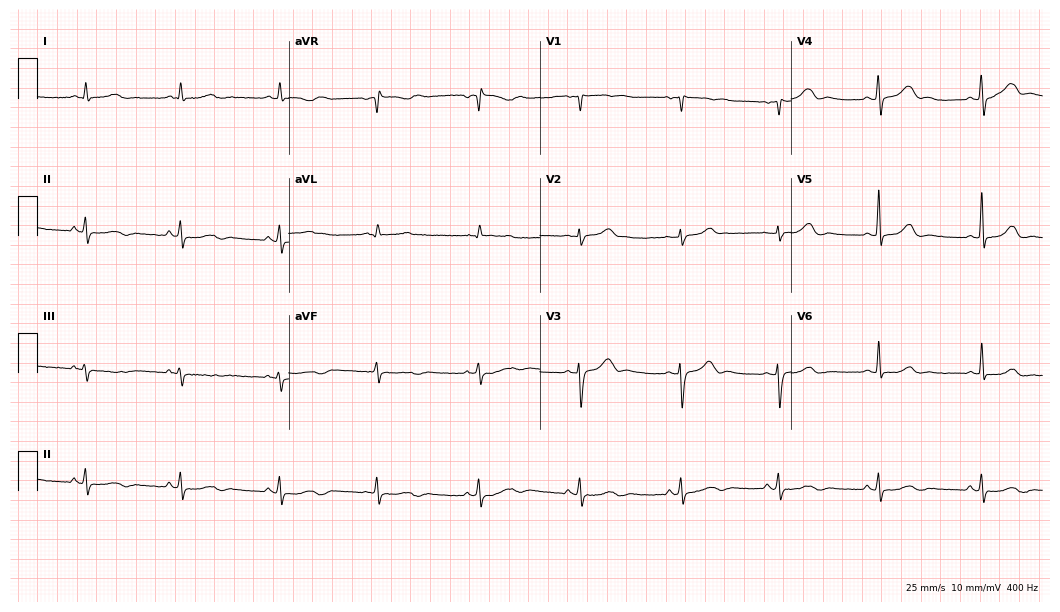
Resting 12-lead electrocardiogram (10.2-second recording at 400 Hz). Patient: a 39-year-old female. None of these six findings is recorded: first-degree AV block, right bundle branch block, left bundle branch block, sinus bradycardia, atrial fibrillation, sinus tachycardia. Other findings, if any, are not listed.